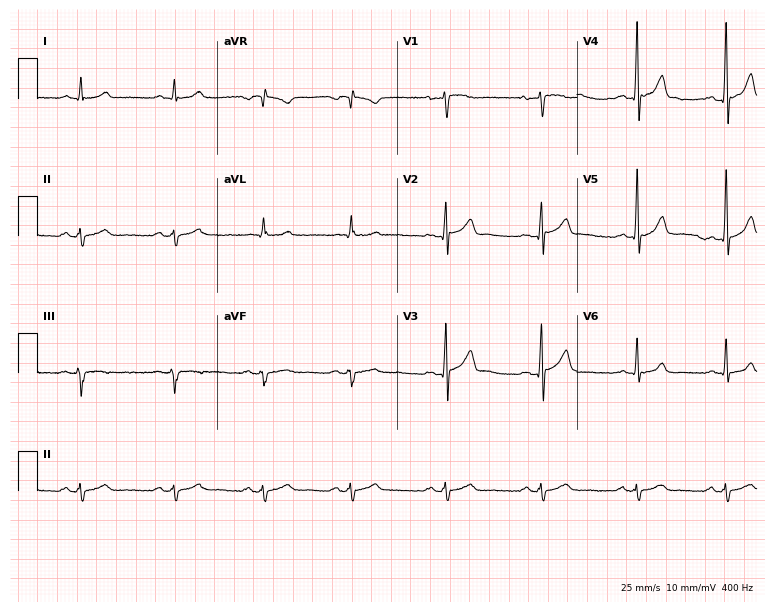
12-lead ECG from a male patient, 39 years old. No first-degree AV block, right bundle branch block, left bundle branch block, sinus bradycardia, atrial fibrillation or sinus tachycardia recorded for this tracing.